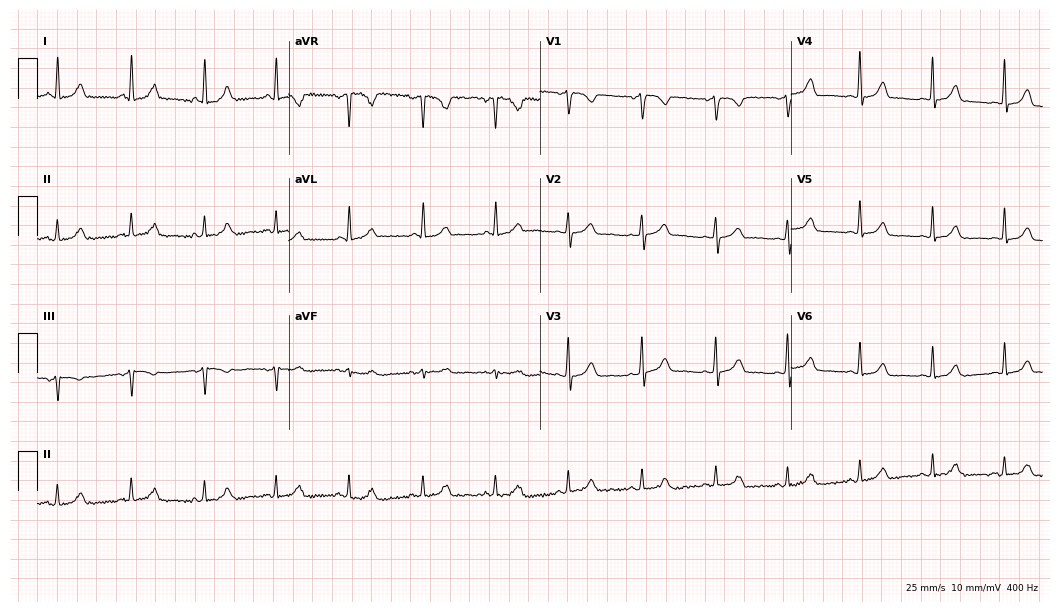
ECG — a woman, 63 years old. Labelled as a normal ECG.